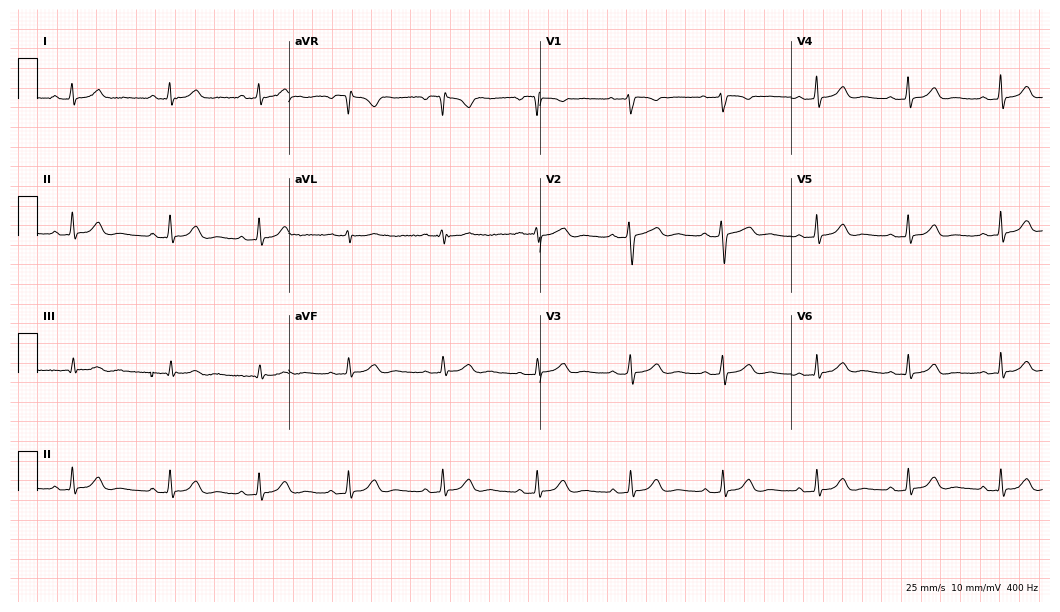
12-lead ECG (10.2-second recording at 400 Hz) from a female, 21 years old. Labelled as a normal ECG.